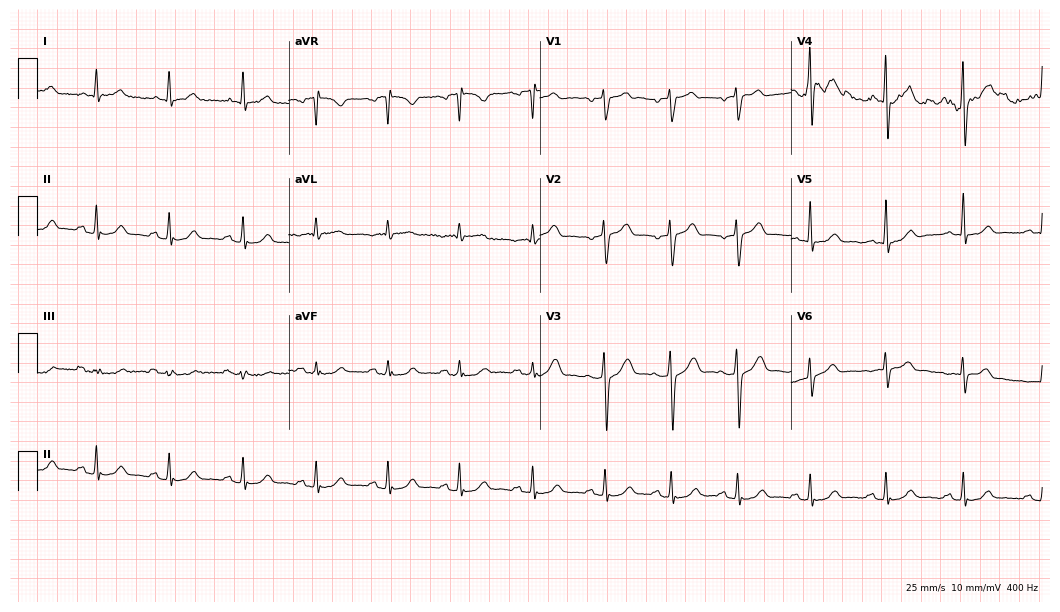
Standard 12-lead ECG recorded from a 43-year-old man. Read as a normal ECG.